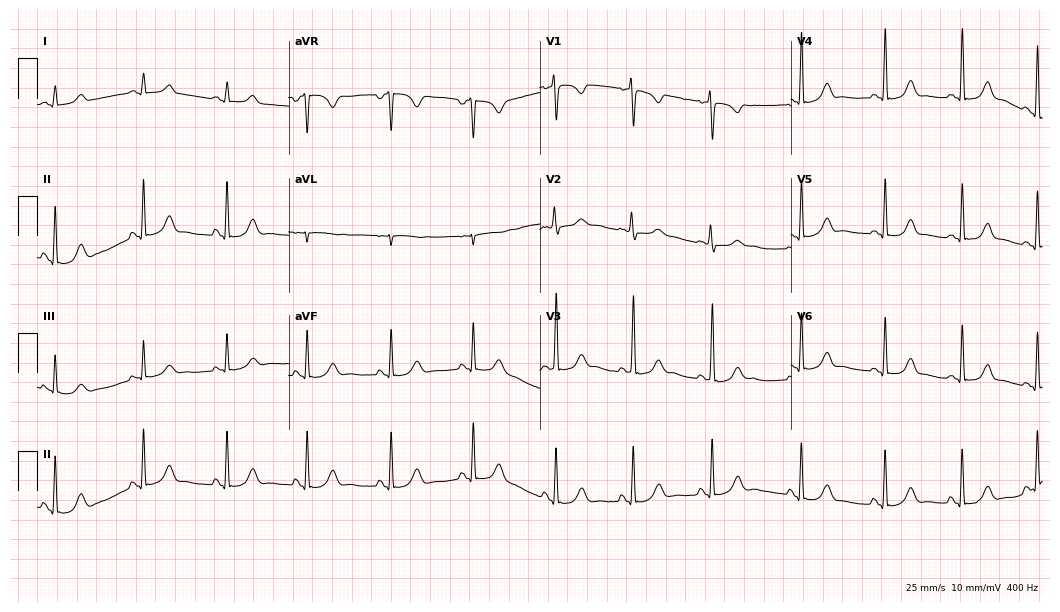
Resting 12-lead electrocardiogram (10.2-second recording at 400 Hz). Patient: a 20-year-old female. Read as a normal ECG.